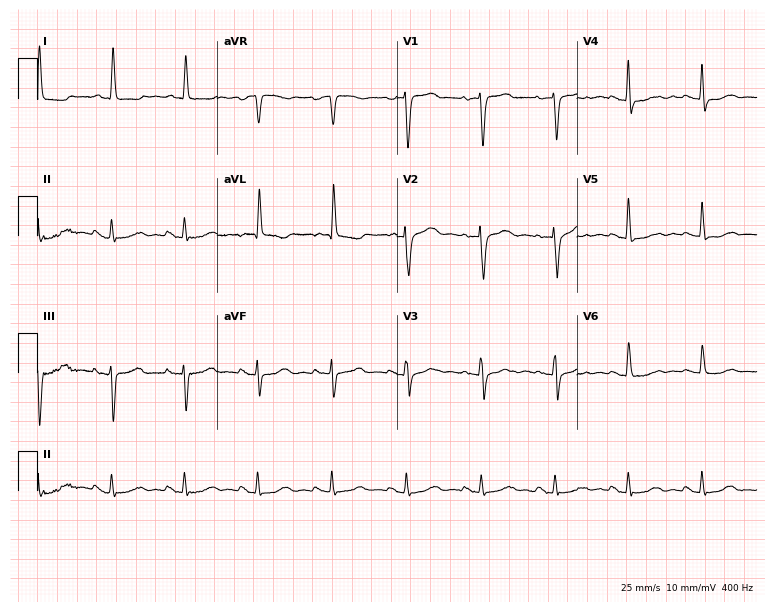
Electrocardiogram, a 69-year-old female. Of the six screened findings (first-degree AV block, right bundle branch block (RBBB), left bundle branch block (LBBB), sinus bradycardia, atrial fibrillation (AF), sinus tachycardia), none is recorded.